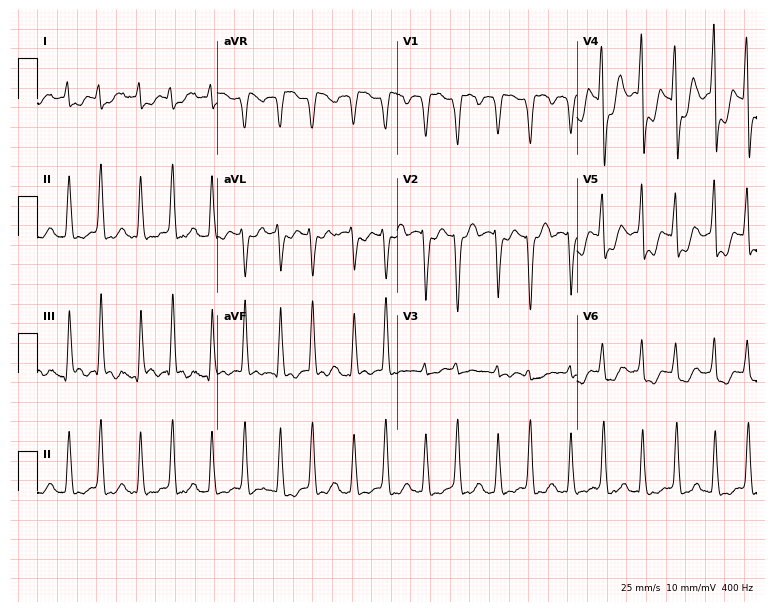
Resting 12-lead electrocardiogram. Patient: a male, 63 years old. None of these six findings is recorded: first-degree AV block, right bundle branch block, left bundle branch block, sinus bradycardia, atrial fibrillation, sinus tachycardia.